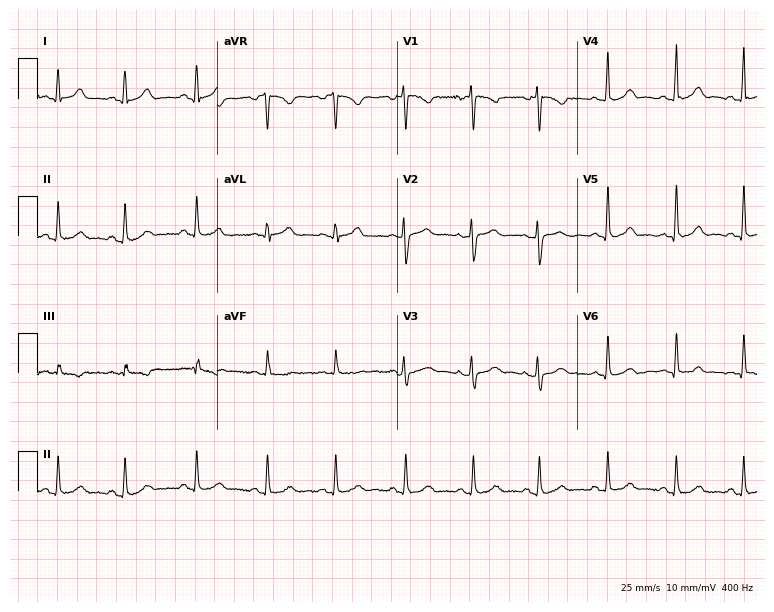
12-lead ECG from a 24-year-old female patient. No first-degree AV block, right bundle branch block, left bundle branch block, sinus bradycardia, atrial fibrillation or sinus tachycardia recorded for this tracing. Other findings, if any, are not listed.